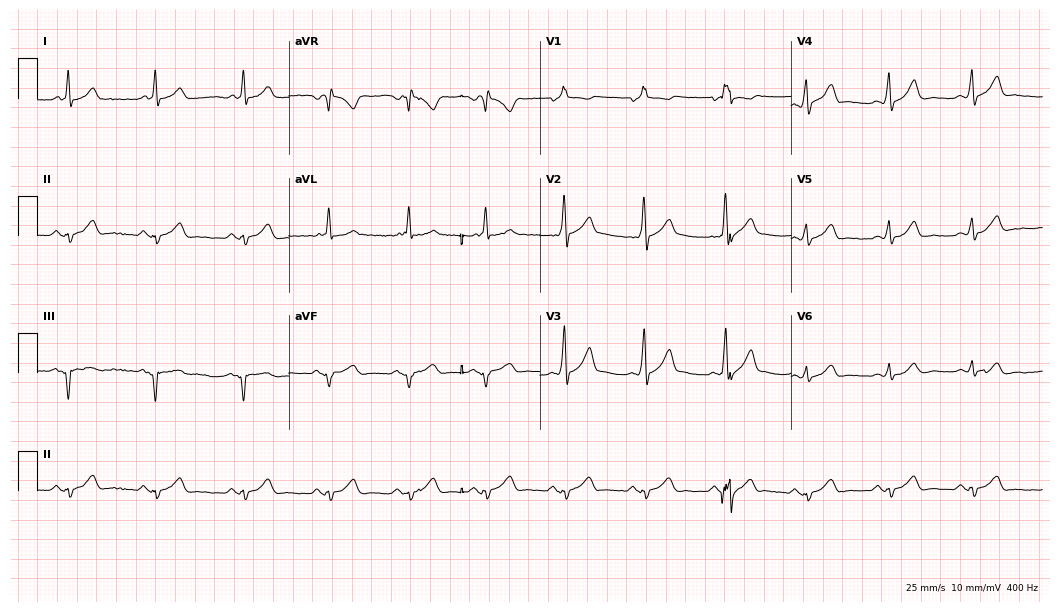
Electrocardiogram, a male, 51 years old. Of the six screened findings (first-degree AV block, right bundle branch block, left bundle branch block, sinus bradycardia, atrial fibrillation, sinus tachycardia), none is recorded. Findings outside these six are not listed.